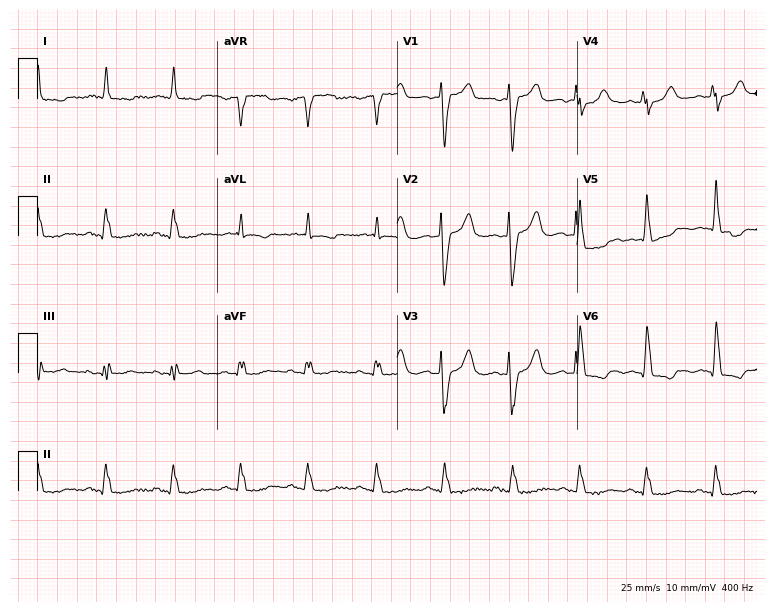
12-lead ECG from a 69-year-old man. Screened for six findings — first-degree AV block, right bundle branch block (RBBB), left bundle branch block (LBBB), sinus bradycardia, atrial fibrillation (AF), sinus tachycardia — none is recorded.